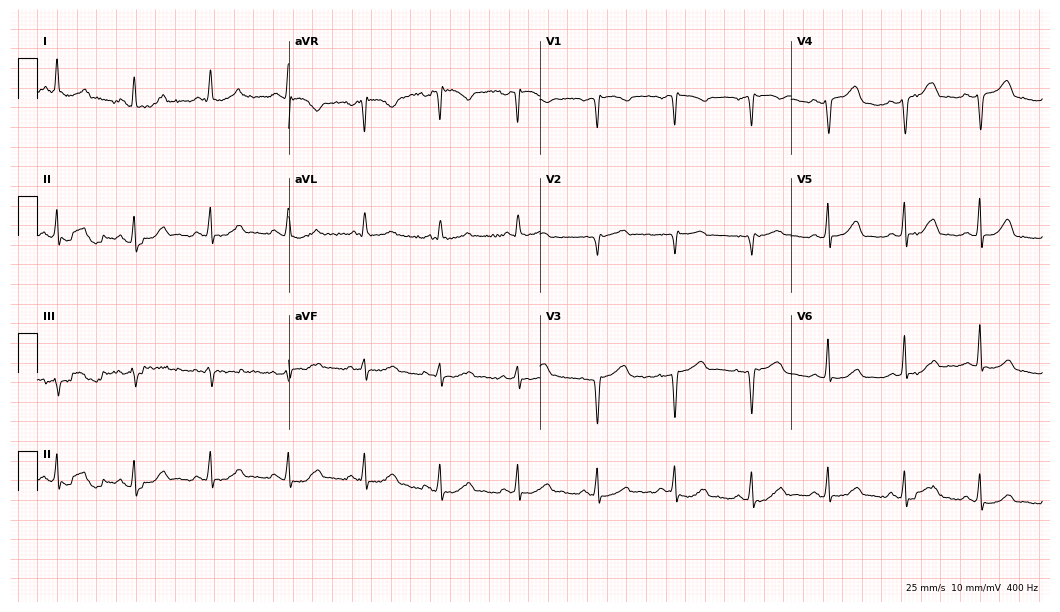
12-lead ECG from a woman, 58 years old. Labelled as a normal ECG.